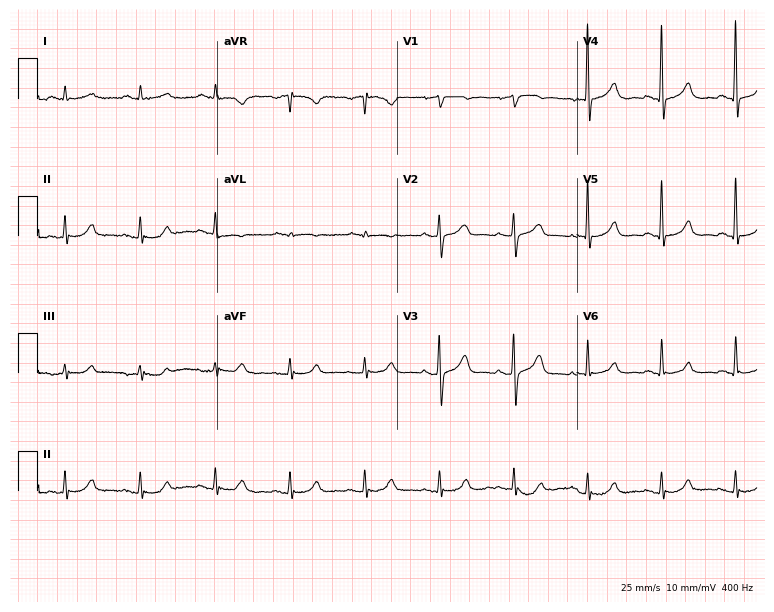
ECG (7.3-second recording at 400 Hz) — a 71-year-old male. Labelled as a normal ECG.